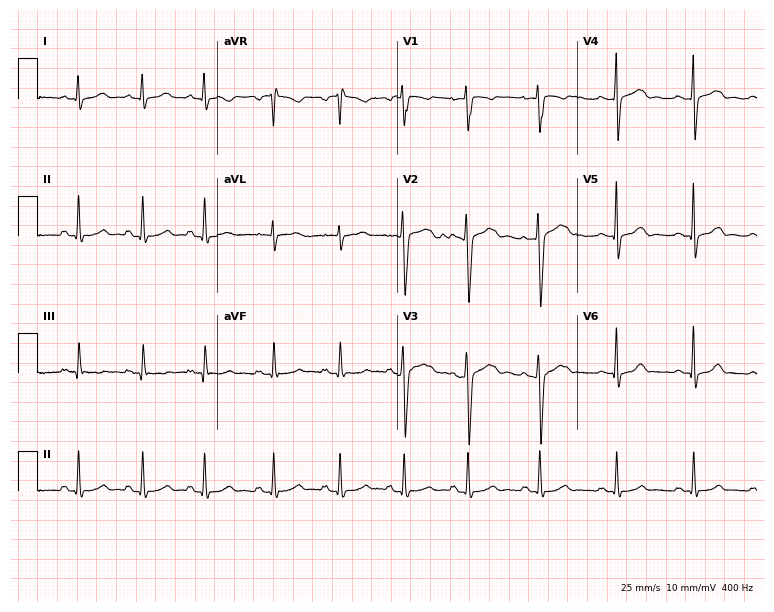
Electrocardiogram, a female, 18 years old. Overall reading on record: normal ECG.